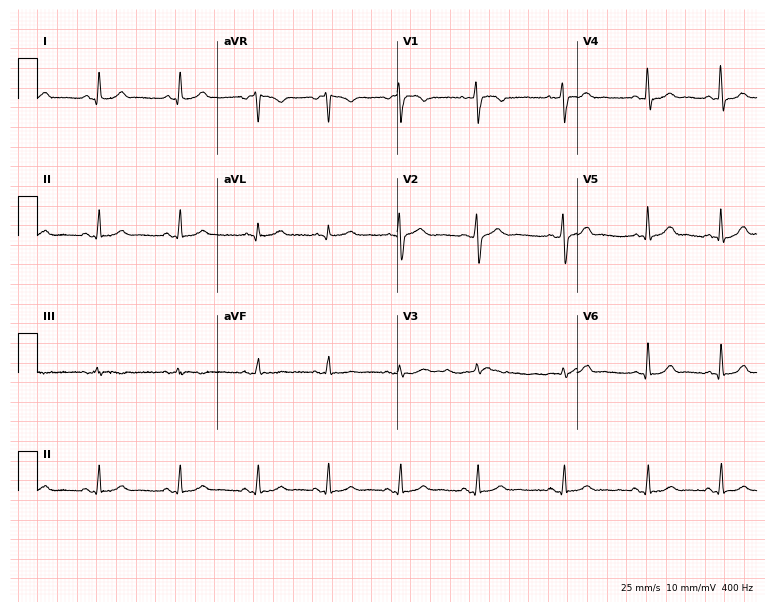
12-lead ECG from a 26-year-old female (7.3-second recording at 400 Hz). Recorded interpretation: within normal limits.